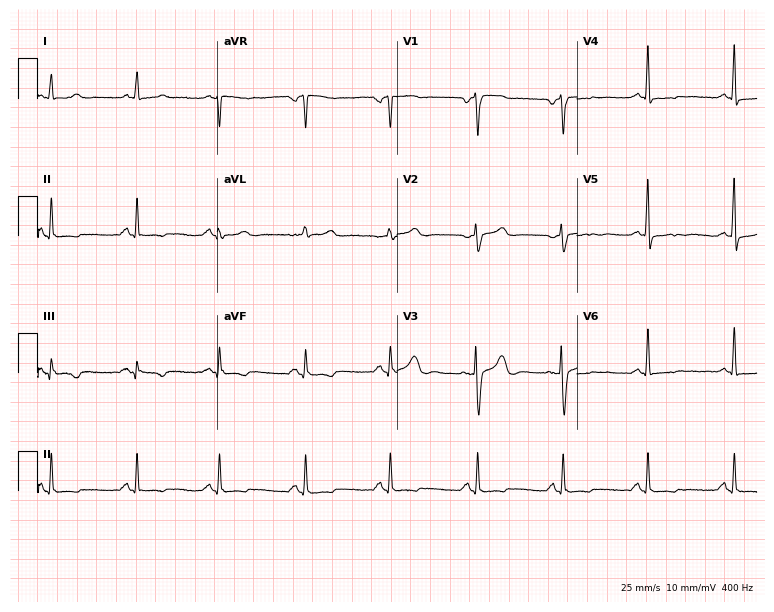
Resting 12-lead electrocardiogram (7.3-second recording at 400 Hz). Patient: a female, 51 years old. None of these six findings is recorded: first-degree AV block, right bundle branch block, left bundle branch block, sinus bradycardia, atrial fibrillation, sinus tachycardia. Other findings, if any, are not listed.